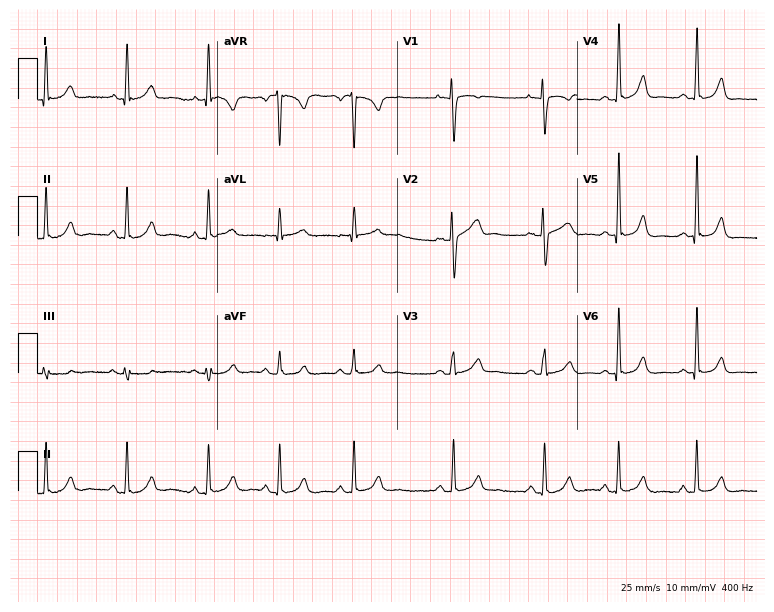
Resting 12-lead electrocardiogram (7.3-second recording at 400 Hz). Patient: a female, 22 years old. Read as a normal ECG.